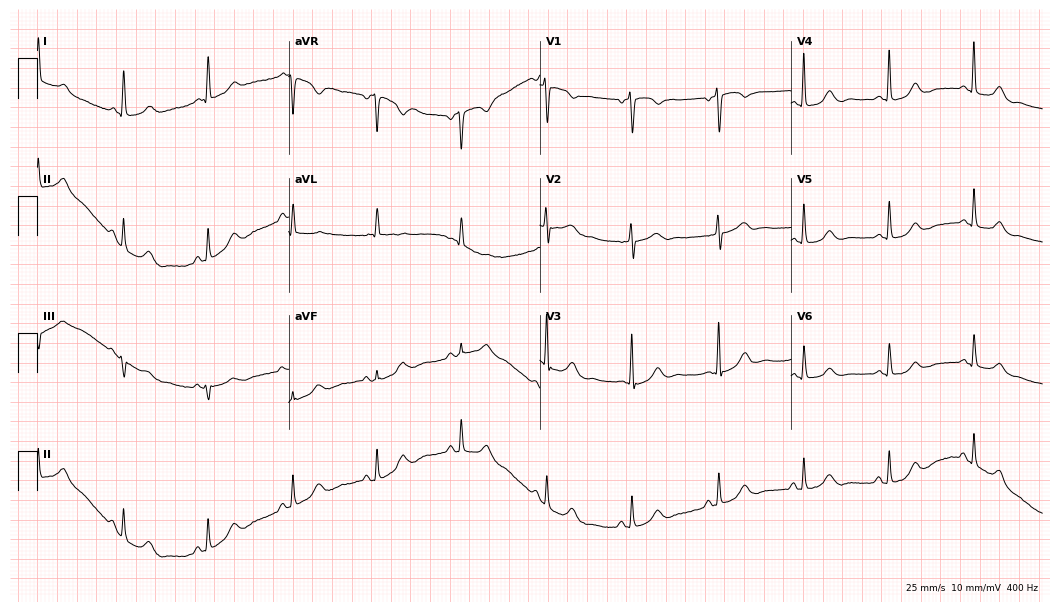
12-lead ECG from a woman, 80 years old. Recorded interpretation: within normal limits.